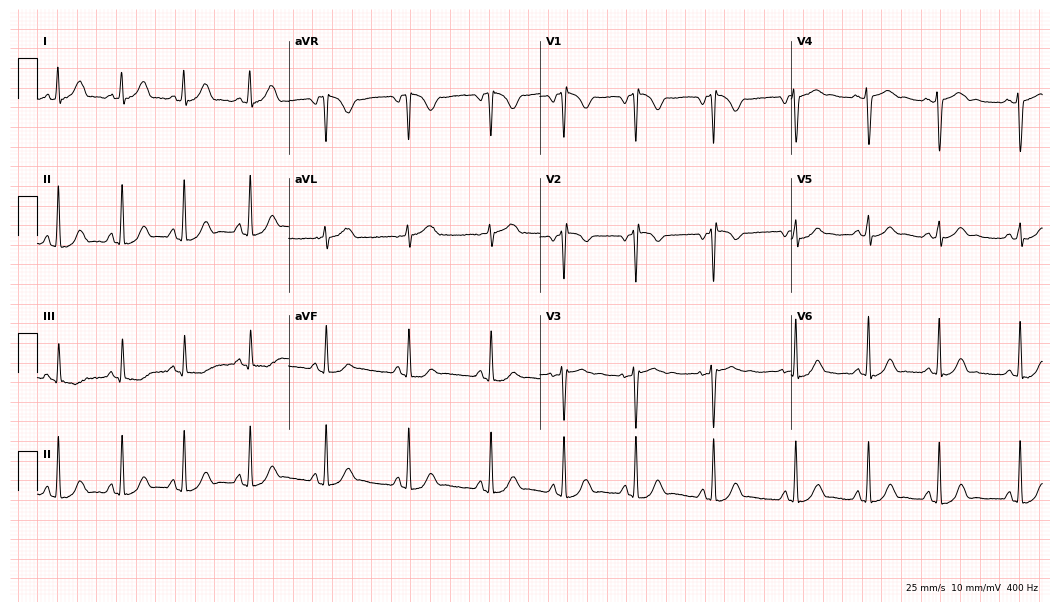
12-lead ECG from a female, 26 years old. Labelled as a normal ECG.